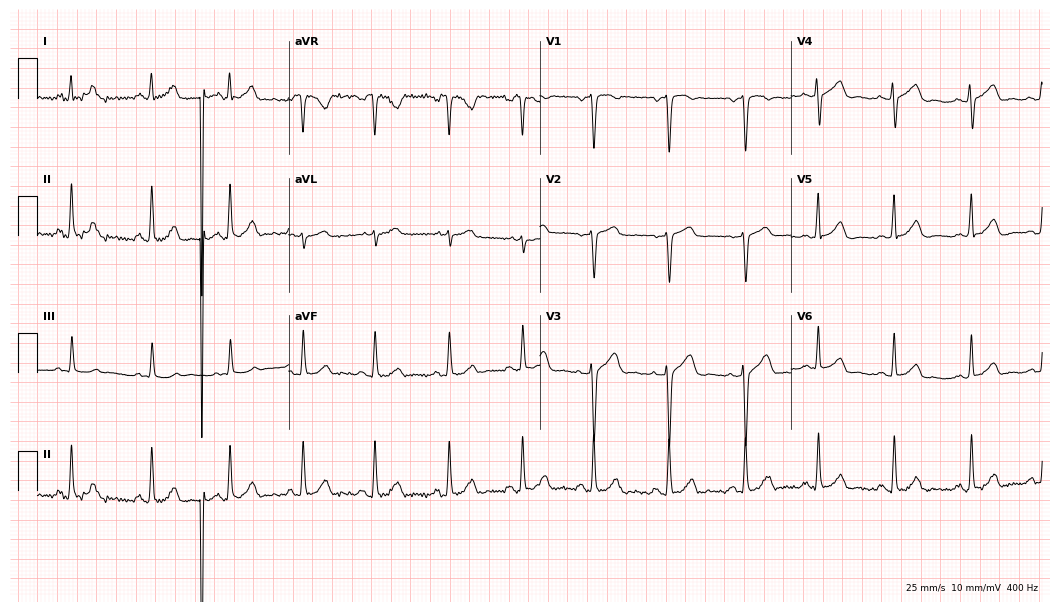
12-lead ECG from a female, 24 years old (10.2-second recording at 400 Hz). No first-degree AV block, right bundle branch block, left bundle branch block, sinus bradycardia, atrial fibrillation or sinus tachycardia recorded for this tracing.